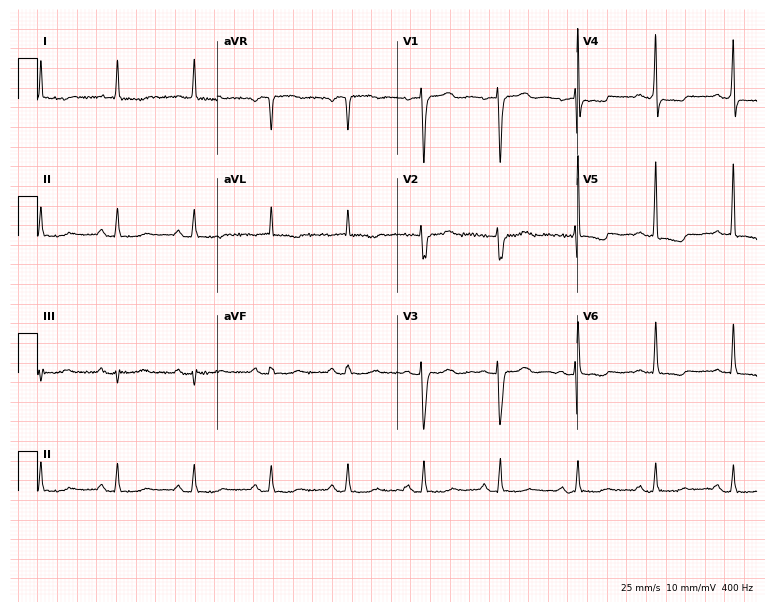
Standard 12-lead ECG recorded from a woman, 82 years old. None of these six findings is recorded: first-degree AV block, right bundle branch block, left bundle branch block, sinus bradycardia, atrial fibrillation, sinus tachycardia.